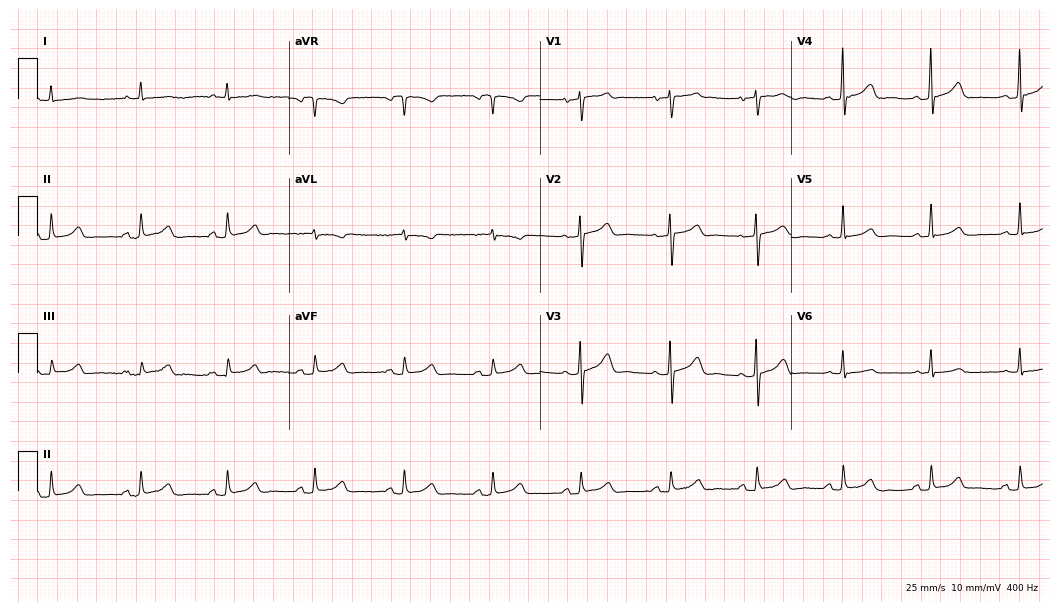
12-lead ECG from a woman, 69 years old (10.2-second recording at 400 Hz). Recorded interpretation: within normal limits.